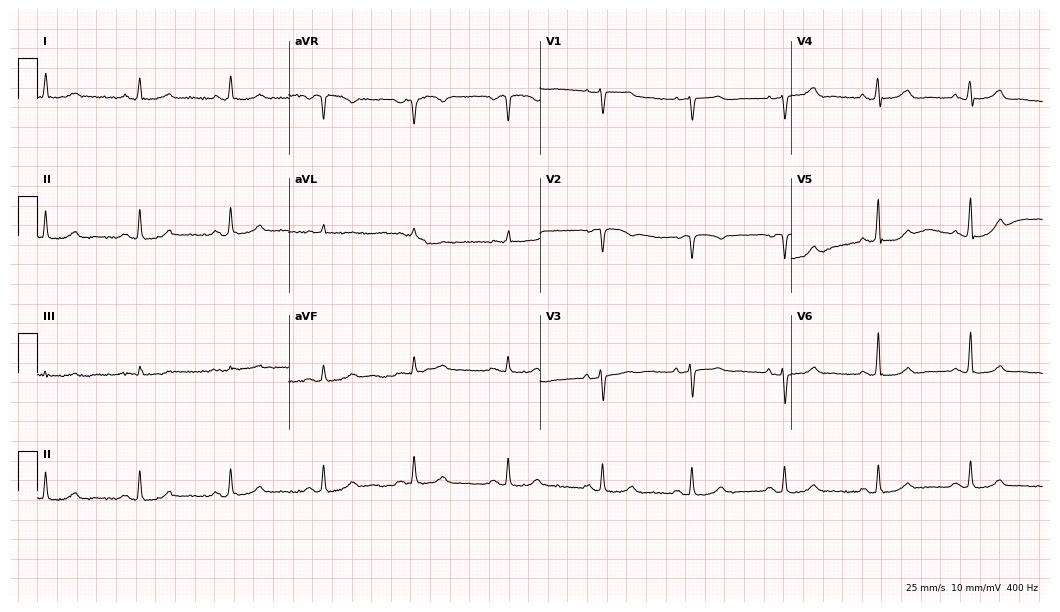
Resting 12-lead electrocardiogram. Patient: a female, 64 years old. Read as a normal ECG.